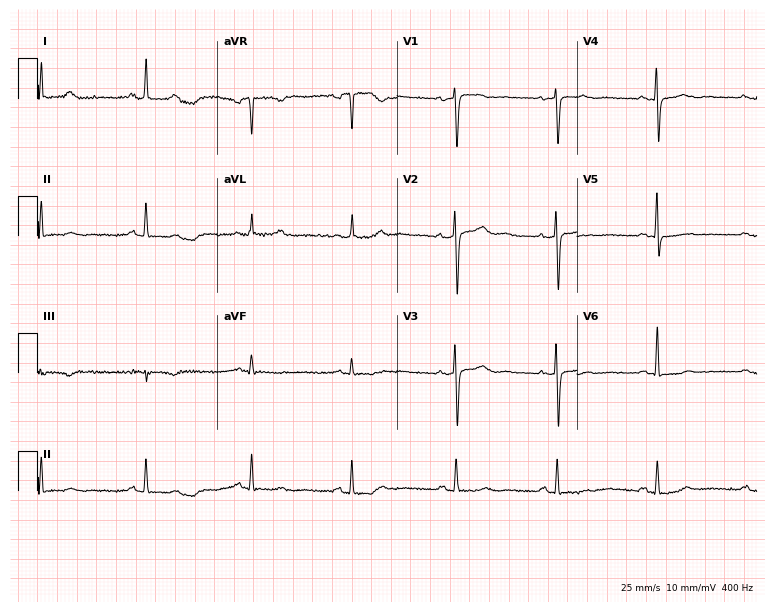
12-lead ECG (7.3-second recording at 400 Hz) from a 37-year-old female patient. Screened for six findings — first-degree AV block, right bundle branch block, left bundle branch block, sinus bradycardia, atrial fibrillation, sinus tachycardia — none is recorded. Other findings, if any, are not listed.